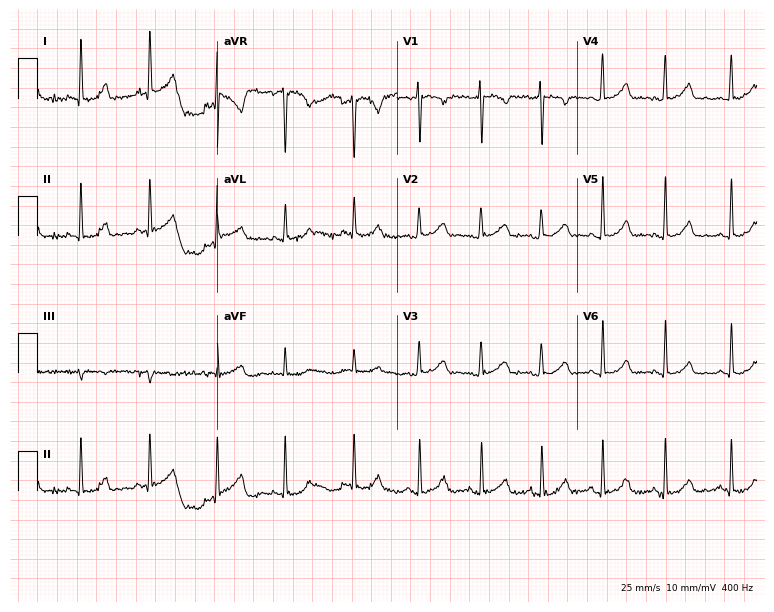
12-lead ECG (7.3-second recording at 400 Hz) from a female patient, 38 years old. Screened for six findings — first-degree AV block, right bundle branch block, left bundle branch block, sinus bradycardia, atrial fibrillation, sinus tachycardia — none is recorded.